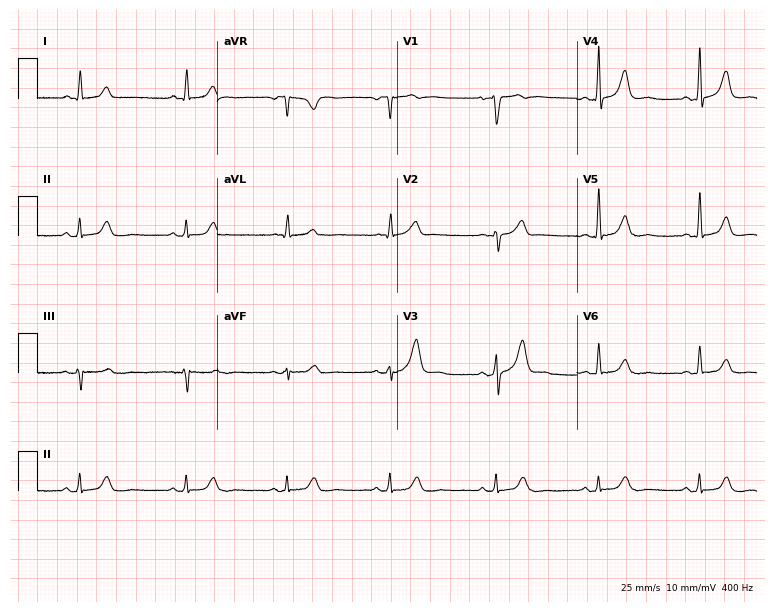
ECG — a 71-year-old male. Labelled as a normal ECG.